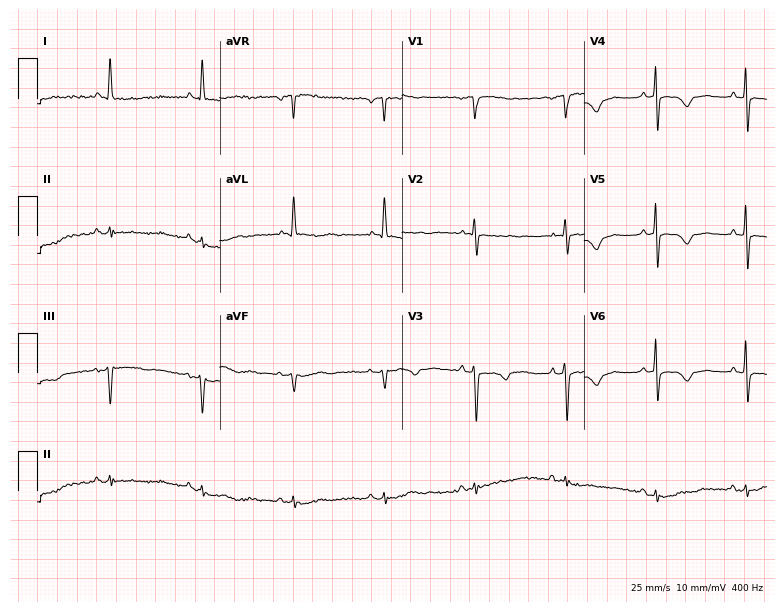
ECG (7.4-second recording at 400 Hz) — a female, 83 years old. Screened for six findings — first-degree AV block, right bundle branch block (RBBB), left bundle branch block (LBBB), sinus bradycardia, atrial fibrillation (AF), sinus tachycardia — none is recorded.